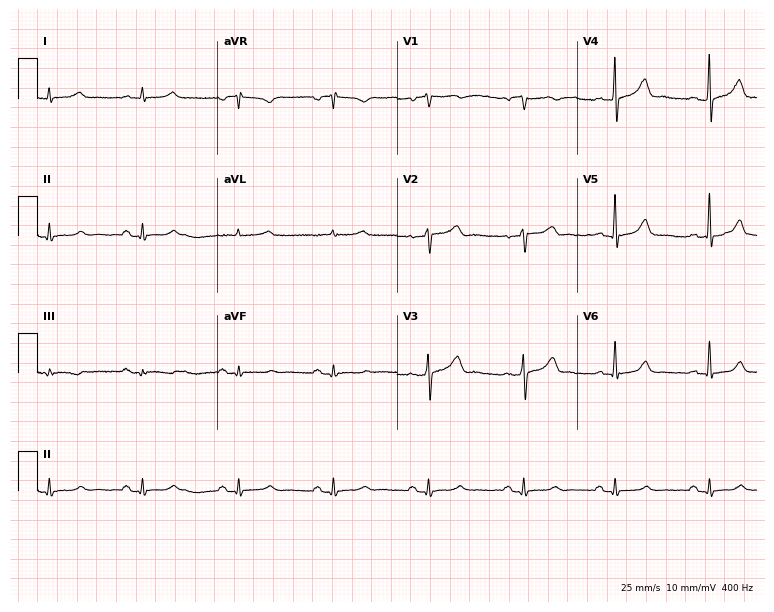
12-lead ECG (7.3-second recording at 400 Hz) from a man, 59 years old. Labelled as a normal ECG.